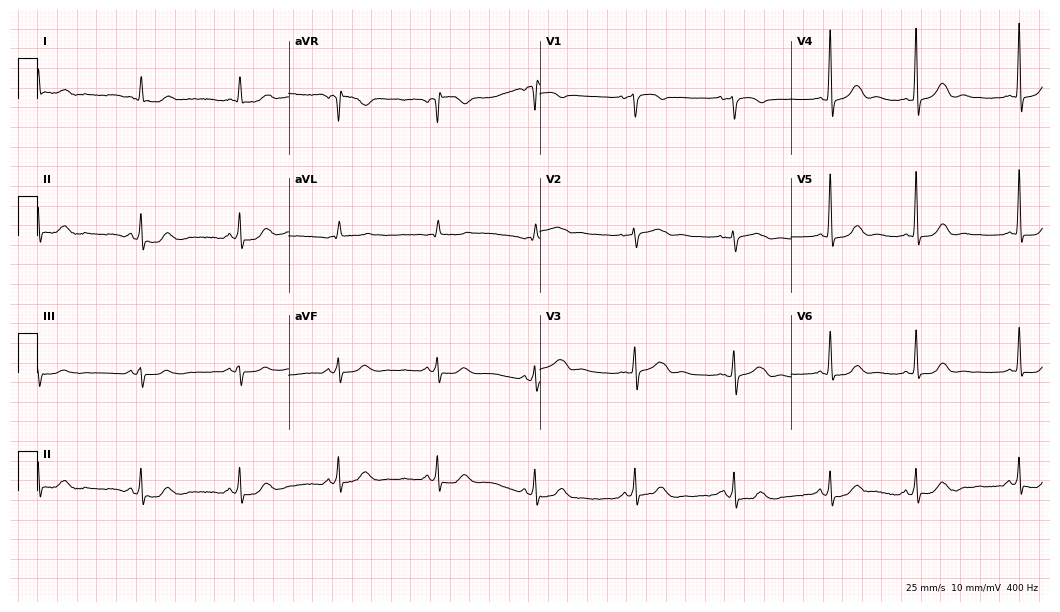
12-lead ECG from a female, 67 years old. Screened for six findings — first-degree AV block, right bundle branch block, left bundle branch block, sinus bradycardia, atrial fibrillation, sinus tachycardia — none is recorded.